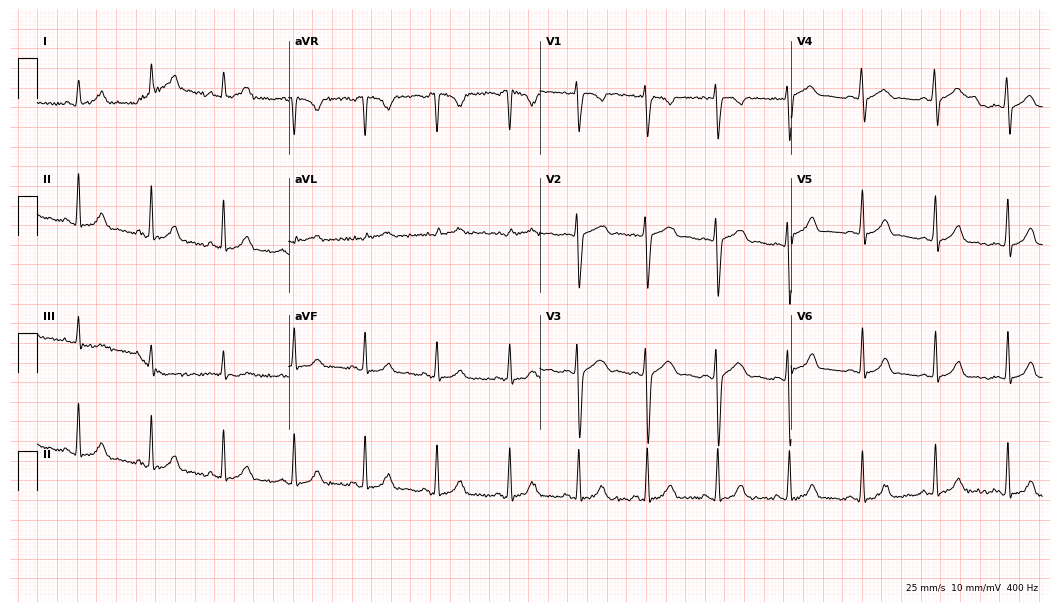
12-lead ECG (10.2-second recording at 400 Hz) from a 19-year-old female patient. Labelled as a normal ECG.